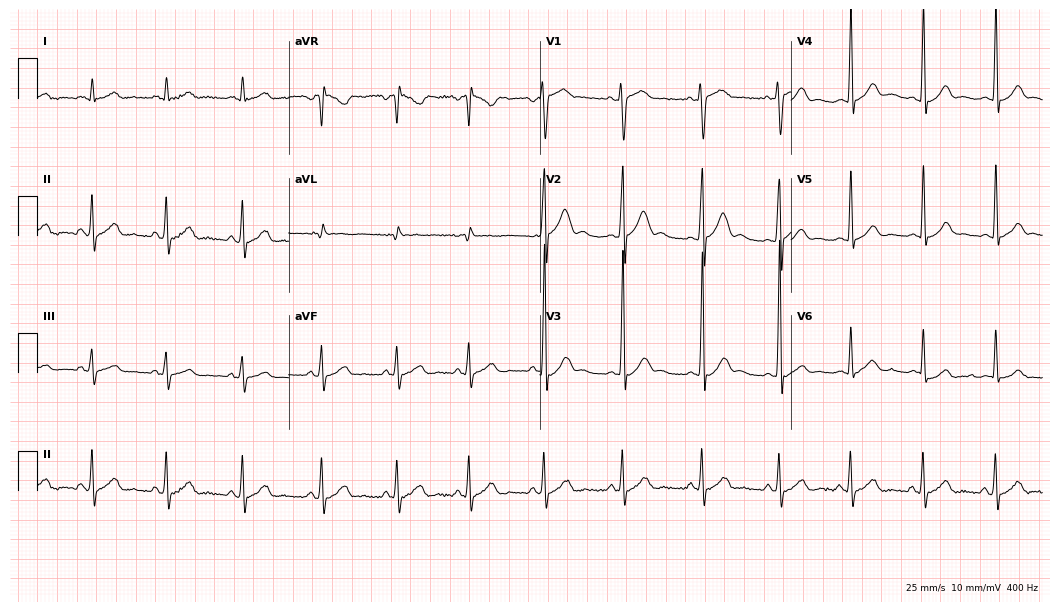
ECG (10.2-second recording at 400 Hz) — a 19-year-old male patient. Labelled as a normal ECG.